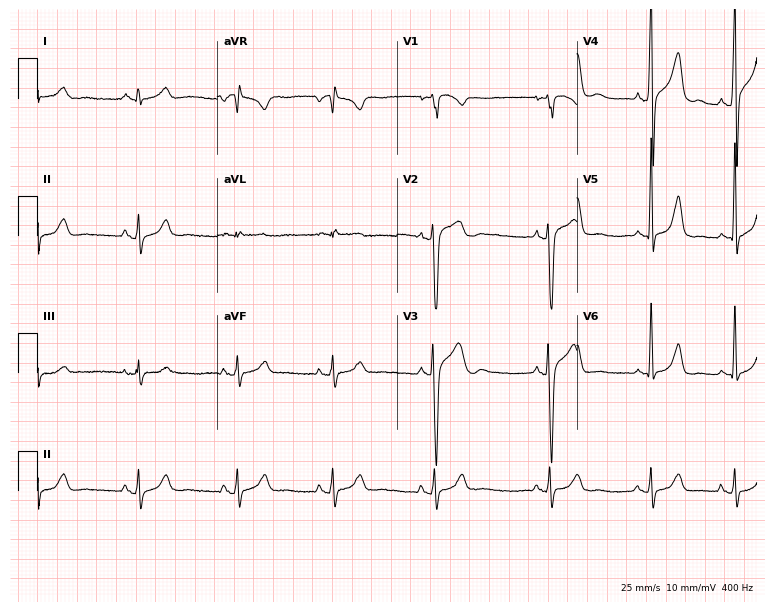
Standard 12-lead ECG recorded from a male patient, 35 years old (7.3-second recording at 400 Hz). None of these six findings is recorded: first-degree AV block, right bundle branch block, left bundle branch block, sinus bradycardia, atrial fibrillation, sinus tachycardia. Other findings, if any, are not listed.